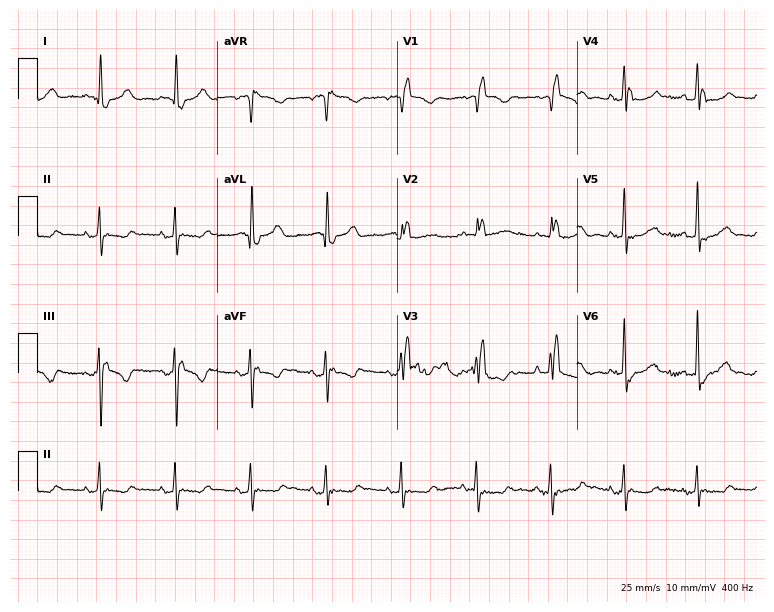
Resting 12-lead electrocardiogram (7.3-second recording at 400 Hz). Patient: an 87-year-old female. None of these six findings is recorded: first-degree AV block, right bundle branch block, left bundle branch block, sinus bradycardia, atrial fibrillation, sinus tachycardia. Only these six findings were labelled.